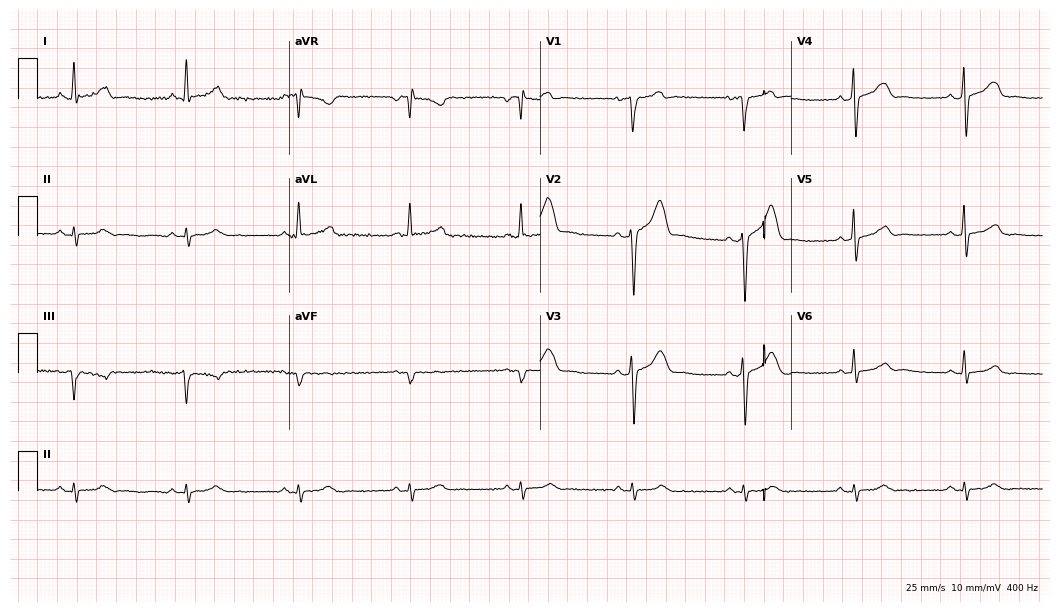
Standard 12-lead ECG recorded from a male, 51 years old. None of these six findings is recorded: first-degree AV block, right bundle branch block, left bundle branch block, sinus bradycardia, atrial fibrillation, sinus tachycardia. Only these six findings were labelled.